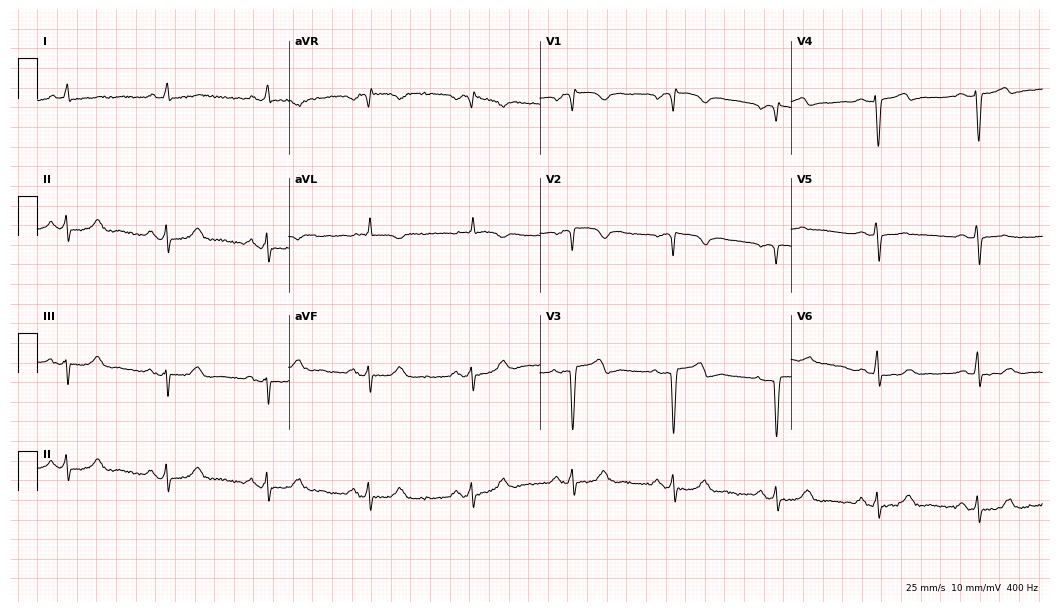
12-lead ECG from a 69-year-old male (10.2-second recording at 400 Hz). No first-degree AV block, right bundle branch block, left bundle branch block, sinus bradycardia, atrial fibrillation or sinus tachycardia recorded for this tracing.